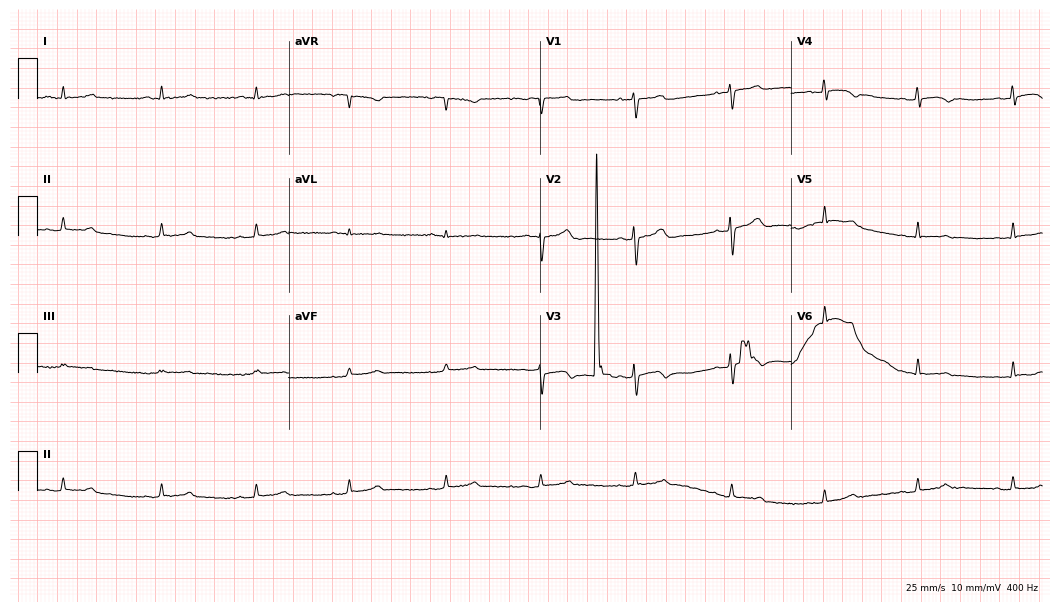
12-lead ECG from a female, 55 years old. Screened for six findings — first-degree AV block, right bundle branch block (RBBB), left bundle branch block (LBBB), sinus bradycardia, atrial fibrillation (AF), sinus tachycardia — none is recorded.